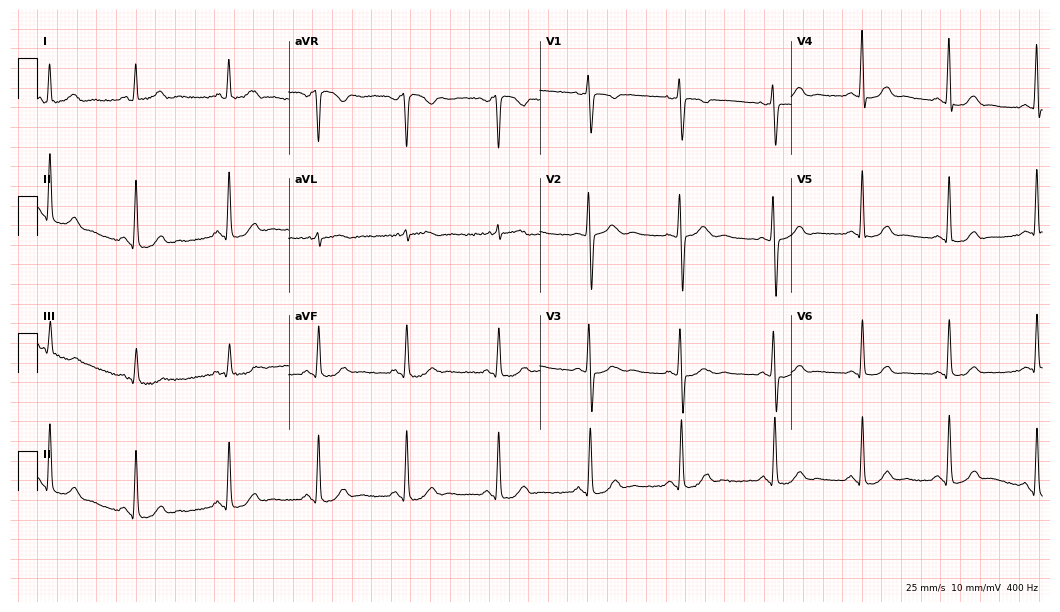
Electrocardiogram (10.2-second recording at 400 Hz), a 40-year-old female. Overall reading on record: normal ECG.